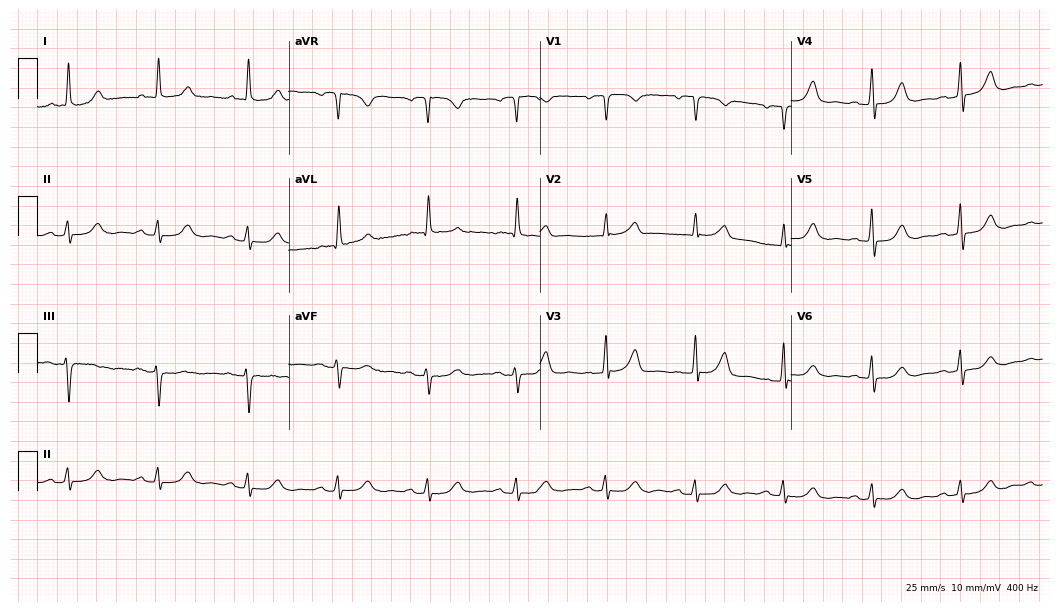
Standard 12-lead ECG recorded from a female patient, 77 years old. Read as a normal ECG.